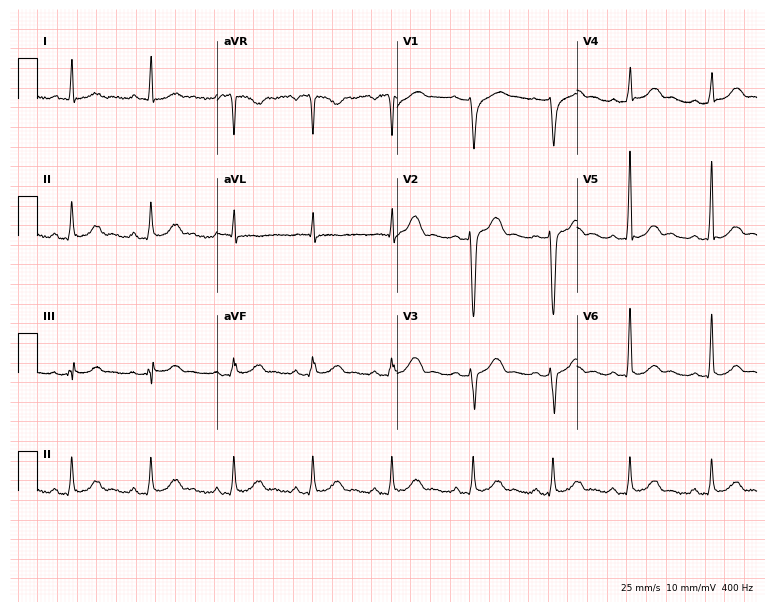
ECG — a 35-year-old male patient. Labelled as a normal ECG.